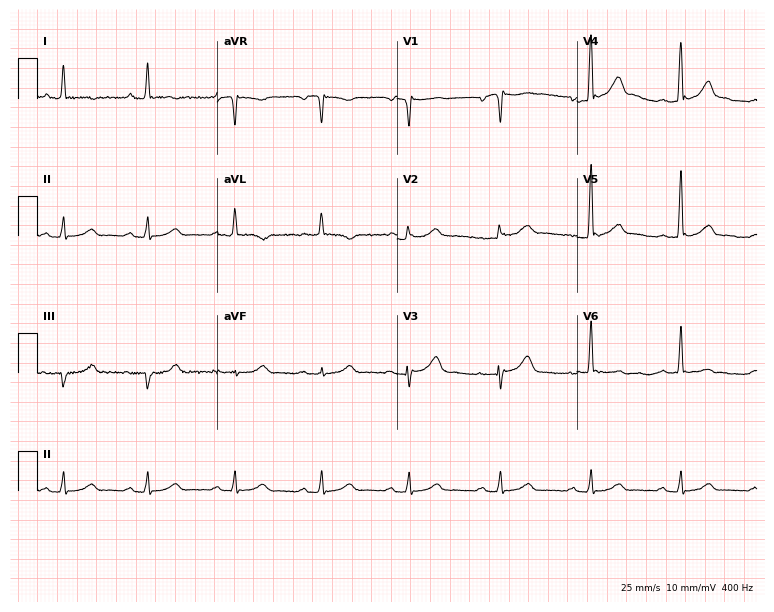
12-lead ECG from a man, 60 years old (7.3-second recording at 400 Hz). No first-degree AV block, right bundle branch block, left bundle branch block, sinus bradycardia, atrial fibrillation or sinus tachycardia recorded for this tracing. Other findings, if any, are not listed.